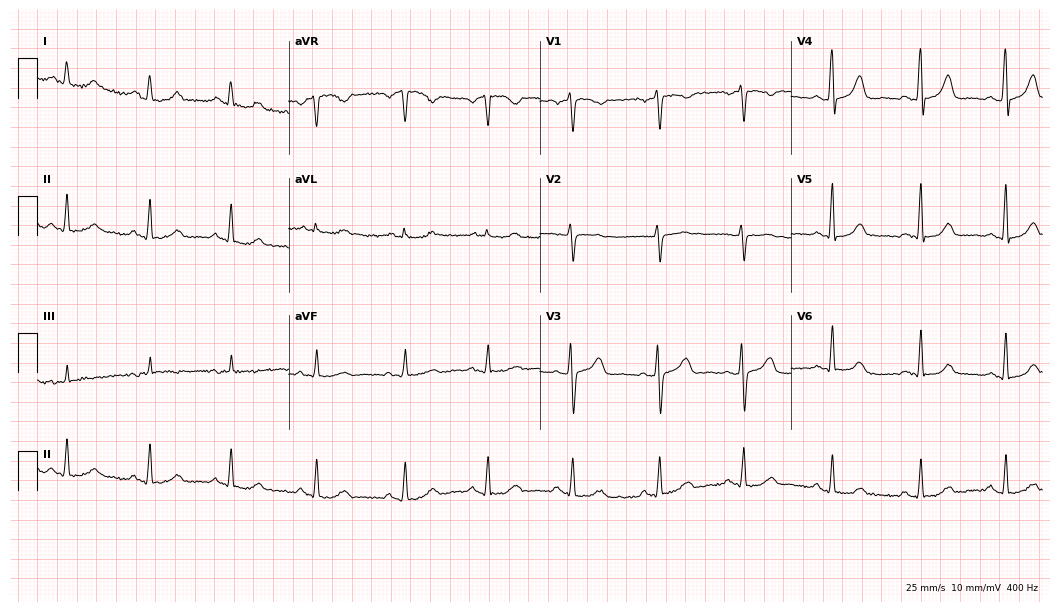
ECG (10.2-second recording at 400 Hz) — a 44-year-old female. Labelled as a normal ECG.